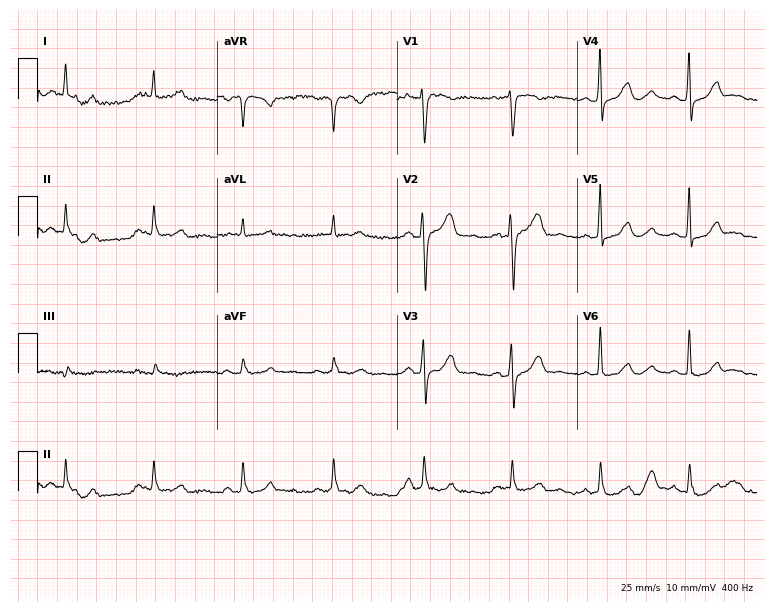
Electrocardiogram, a female patient, 42 years old. Of the six screened findings (first-degree AV block, right bundle branch block, left bundle branch block, sinus bradycardia, atrial fibrillation, sinus tachycardia), none is recorded. Other findings, if any, are not listed.